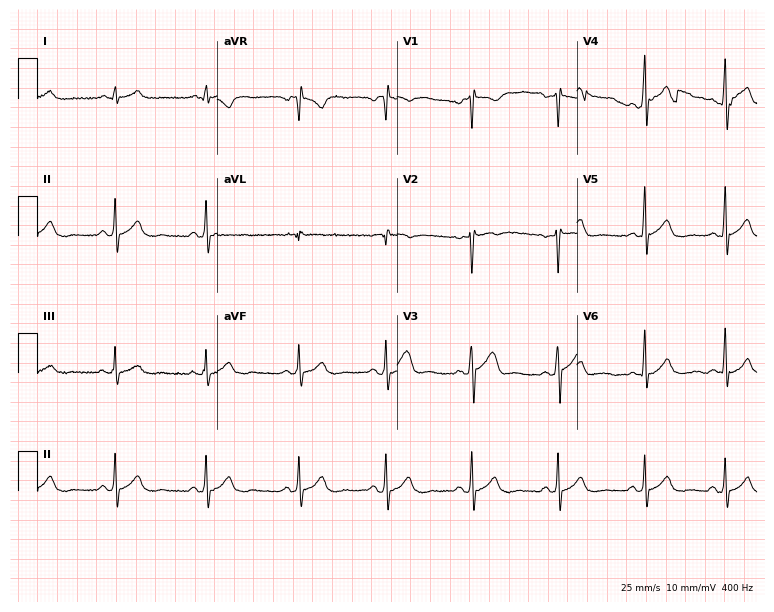
12-lead ECG from a male, 23 years old. Labelled as a normal ECG.